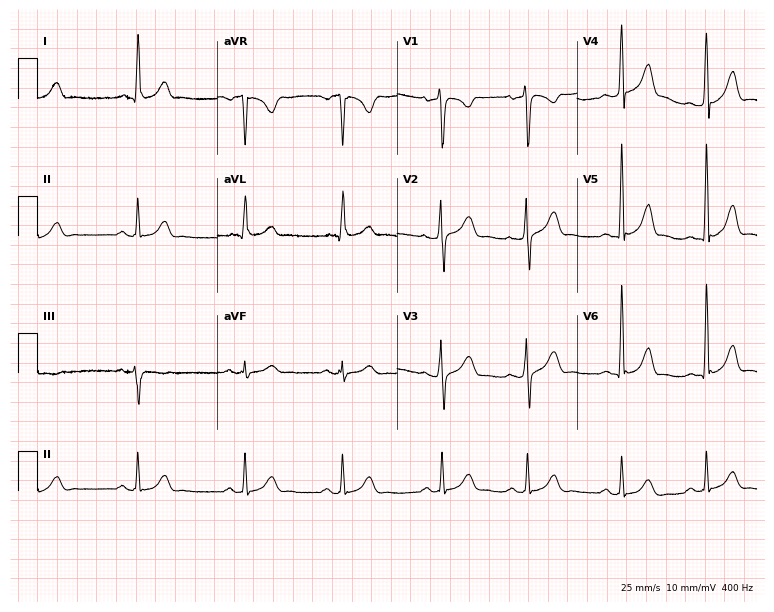
Resting 12-lead electrocardiogram (7.3-second recording at 400 Hz). Patient: a male, 28 years old. Read as a normal ECG.